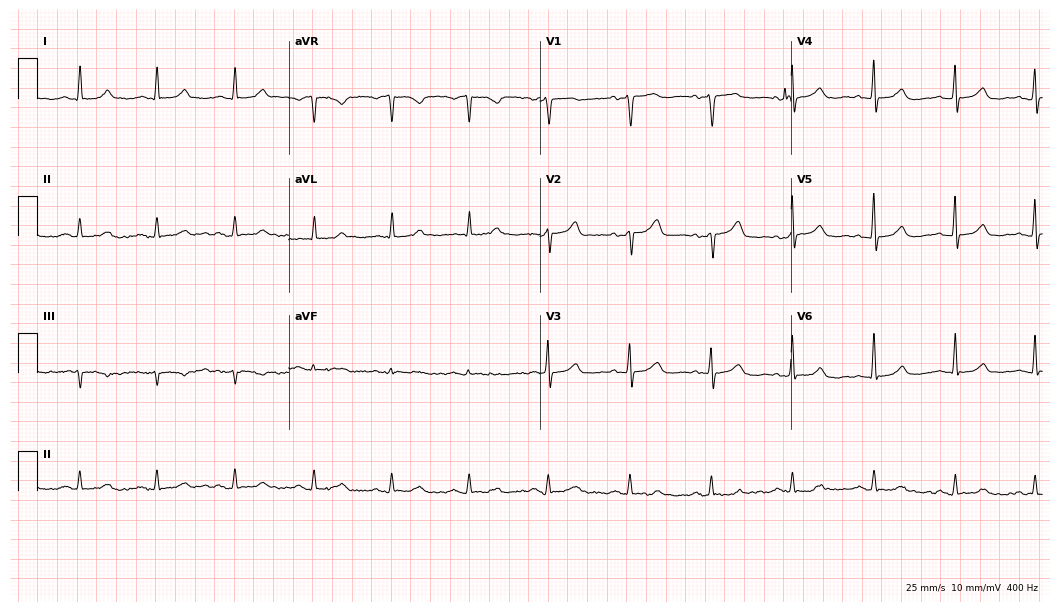
Electrocardiogram (10.2-second recording at 400 Hz), an 81-year-old female. Overall reading on record: normal ECG.